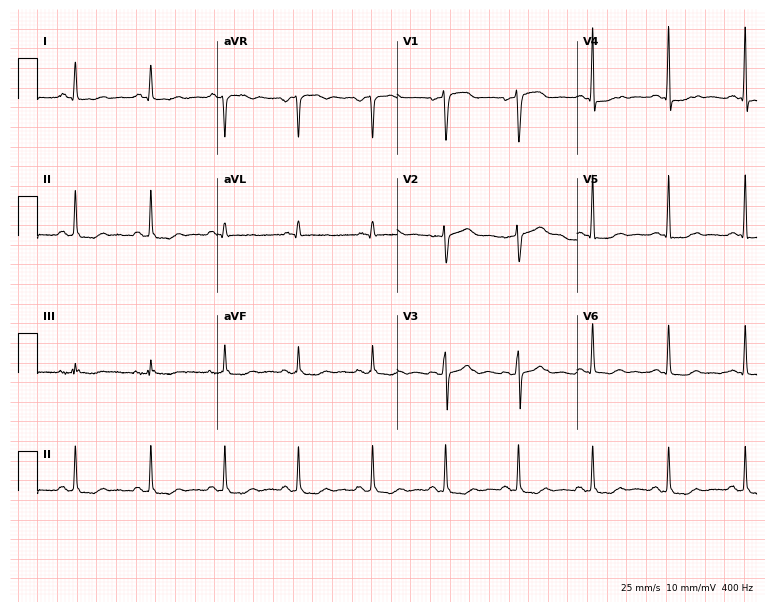
Standard 12-lead ECG recorded from a female, 61 years old (7.3-second recording at 400 Hz). None of these six findings is recorded: first-degree AV block, right bundle branch block (RBBB), left bundle branch block (LBBB), sinus bradycardia, atrial fibrillation (AF), sinus tachycardia. Other findings, if any, are not listed.